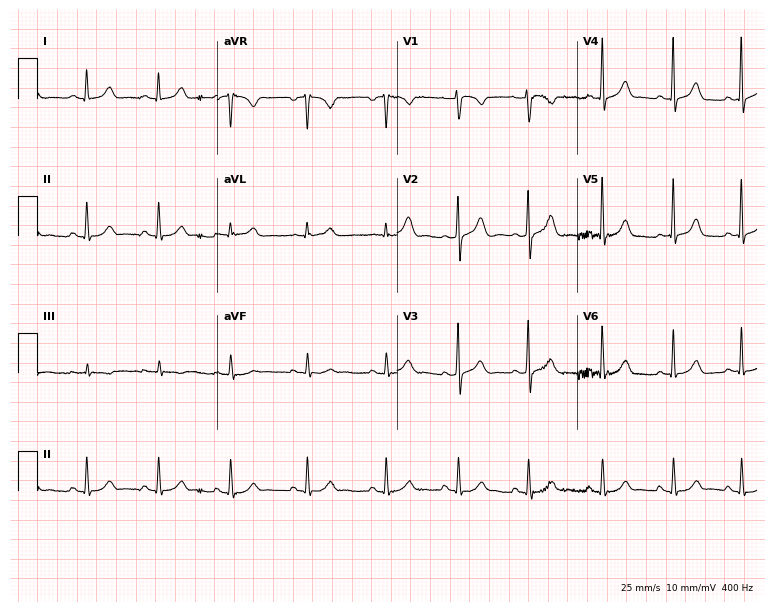
Resting 12-lead electrocardiogram (7.3-second recording at 400 Hz). Patient: a 22-year-old female. Read as a normal ECG.